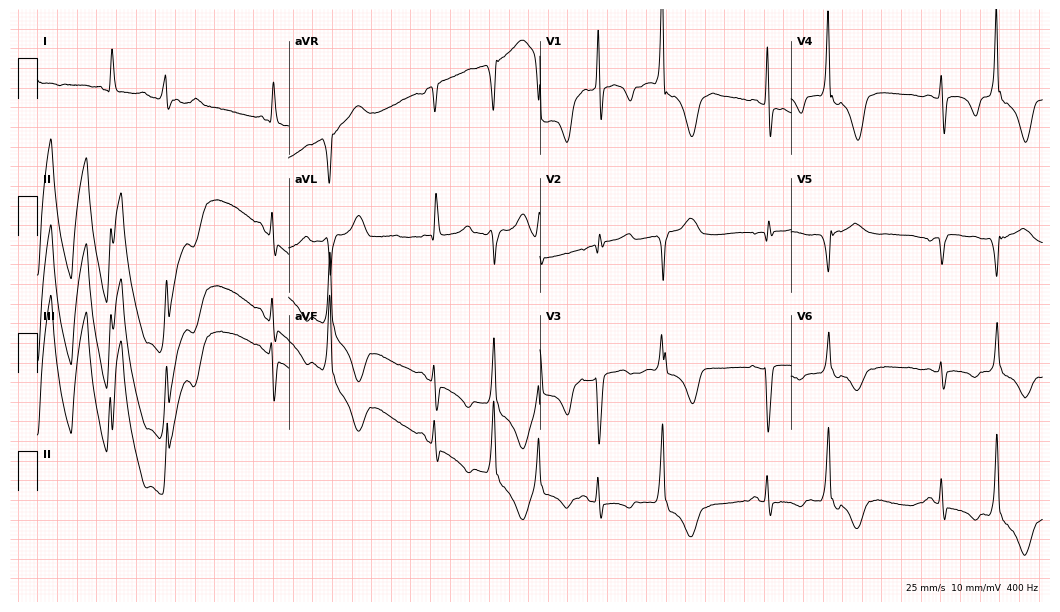
12-lead ECG from a 65-year-old female. Screened for six findings — first-degree AV block, right bundle branch block, left bundle branch block, sinus bradycardia, atrial fibrillation, sinus tachycardia — none is recorded.